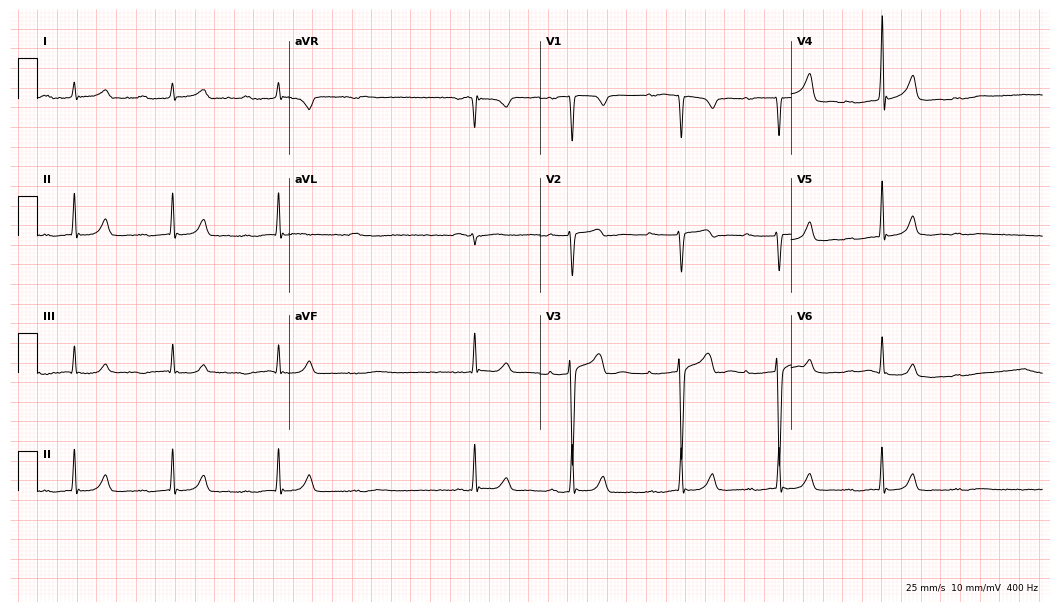
Standard 12-lead ECG recorded from a 32-year-old male. The tracing shows first-degree AV block, atrial fibrillation (AF).